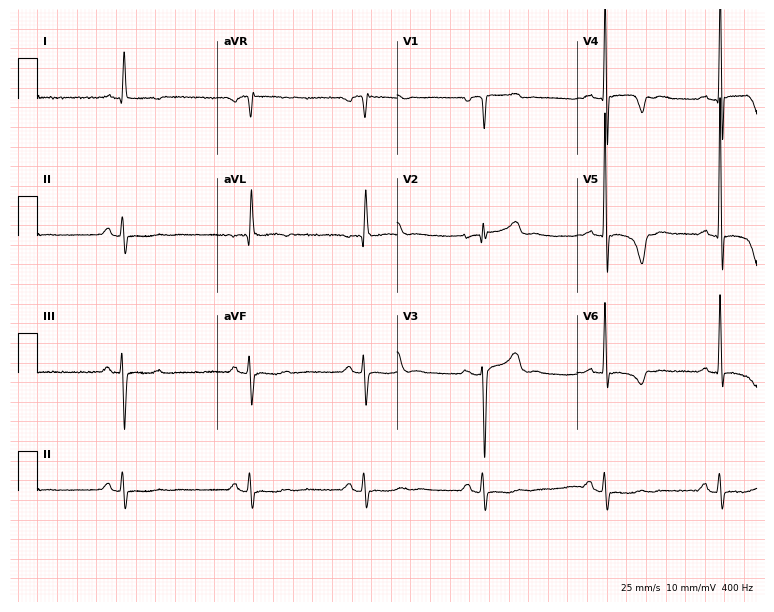
Standard 12-lead ECG recorded from a 76-year-old male (7.3-second recording at 400 Hz). None of these six findings is recorded: first-degree AV block, right bundle branch block (RBBB), left bundle branch block (LBBB), sinus bradycardia, atrial fibrillation (AF), sinus tachycardia. Findings outside these six are not listed.